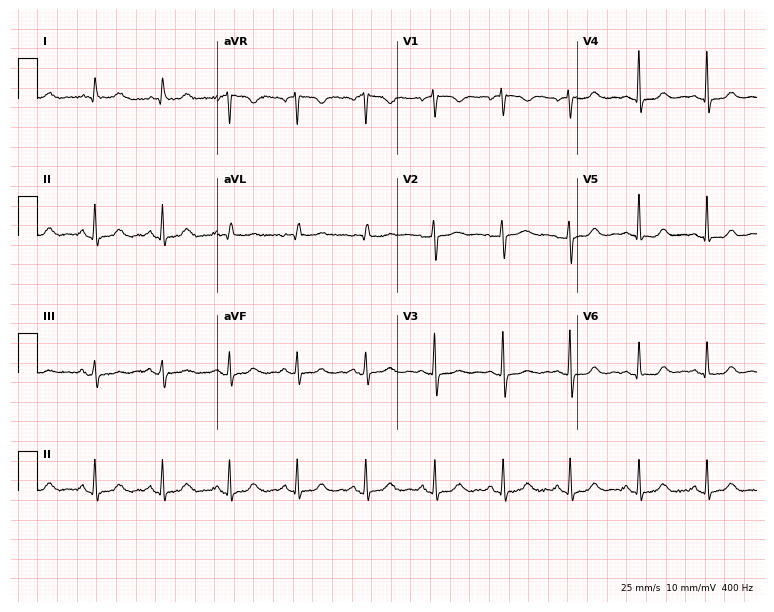
Electrocardiogram (7.3-second recording at 400 Hz), a female patient, 63 years old. Overall reading on record: normal ECG.